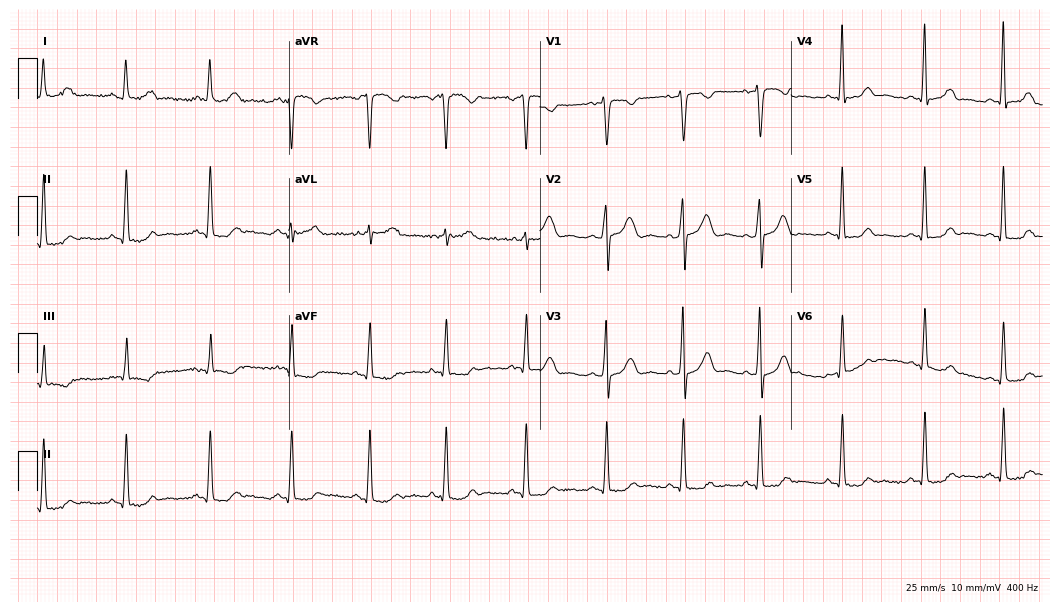
Resting 12-lead electrocardiogram. Patient: a female, 40 years old. Read as a normal ECG.